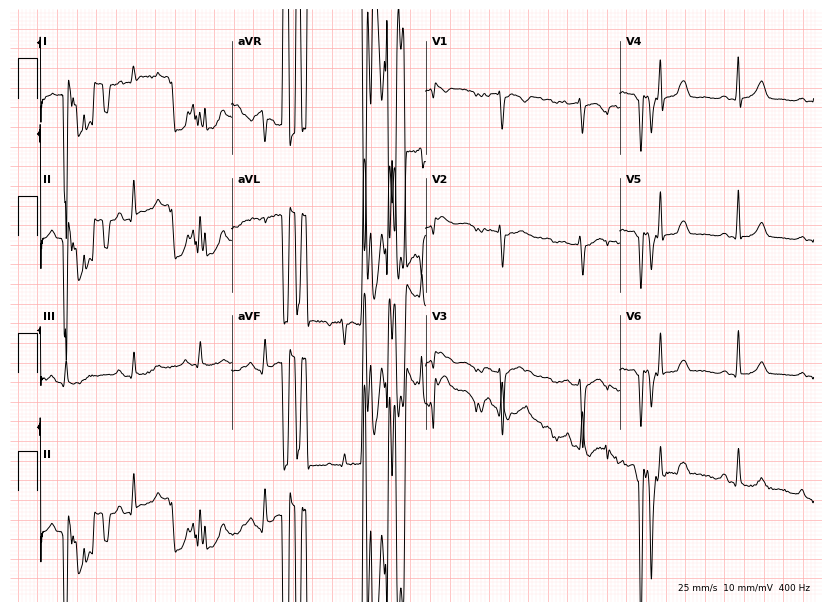
12-lead ECG from a 47-year-old female patient. Screened for six findings — first-degree AV block, right bundle branch block, left bundle branch block, sinus bradycardia, atrial fibrillation, sinus tachycardia — none is recorded. Other findings, if any, are not listed.